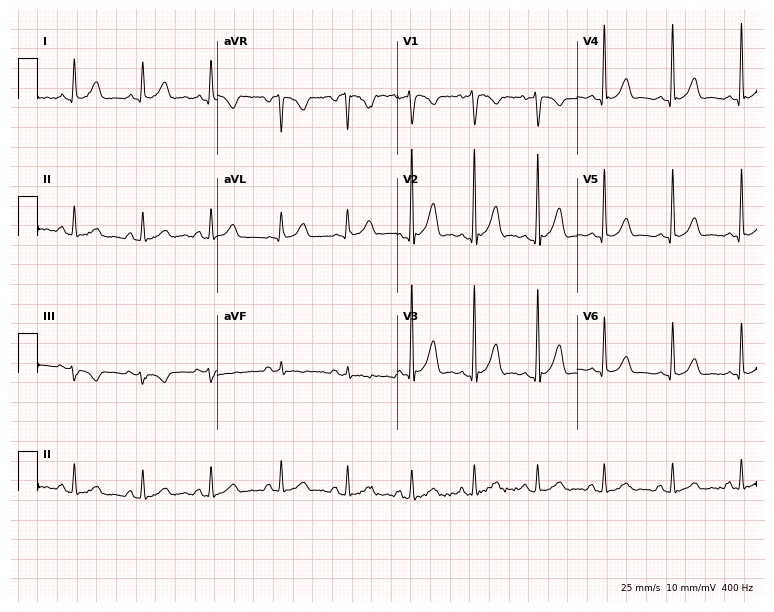
Resting 12-lead electrocardiogram. Patient: a 29-year-old male. None of these six findings is recorded: first-degree AV block, right bundle branch block, left bundle branch block, sinus bradycardia, atrial fibrillation, sinus tachycardia. Other findings, if any, are not listed.